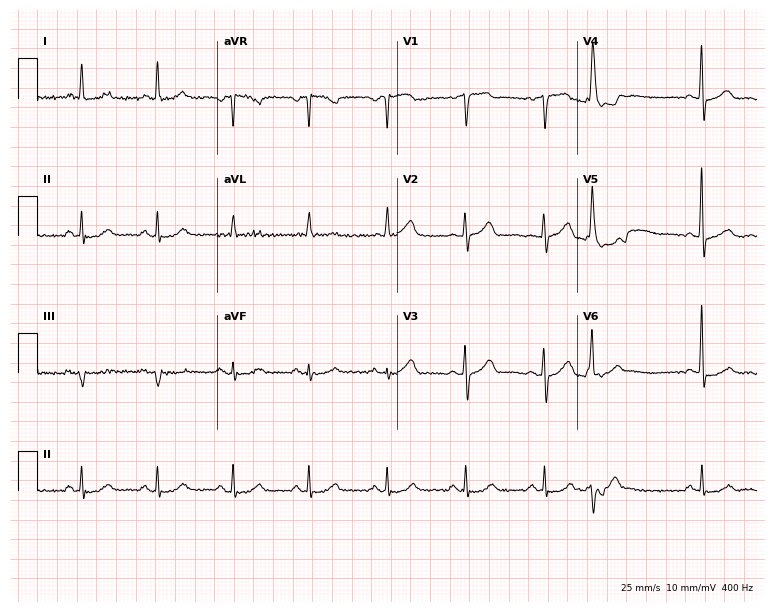
Resting 12-lead electrocardiogram. Patient: a man, 79 years old. None of these six findings is recorded: first-degree AV block, right bundle branch block, left bundle branch block, sinus bradycardia, atrial fibrillation, sinus tachycardia. Findings outside these six are not listed.